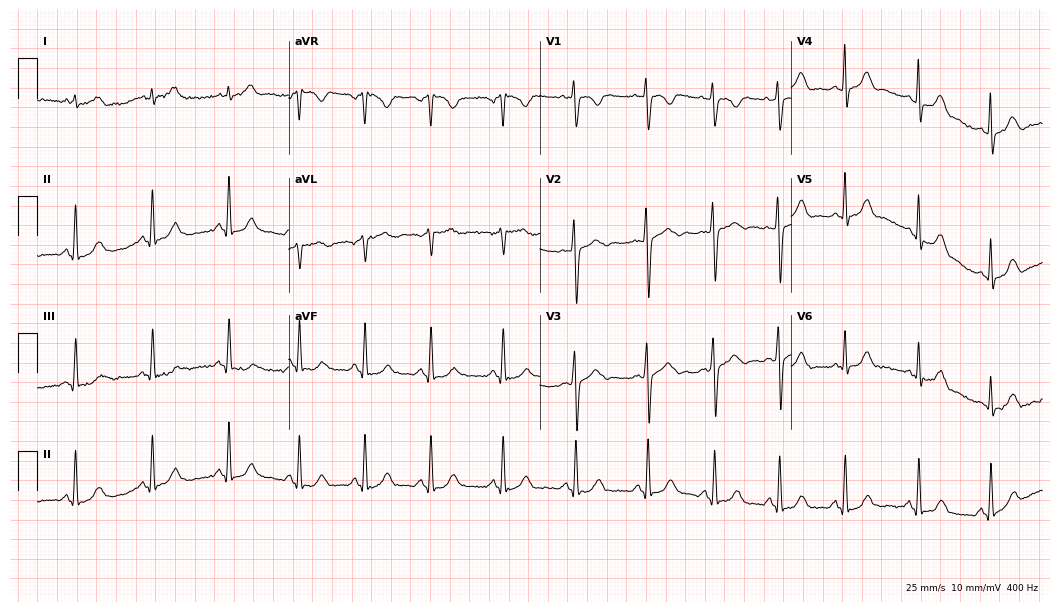
Standard 12-lead ECG recorded from a 30-year-old female (10.2-second recording at 400 Hz). Read as a normal ECG.